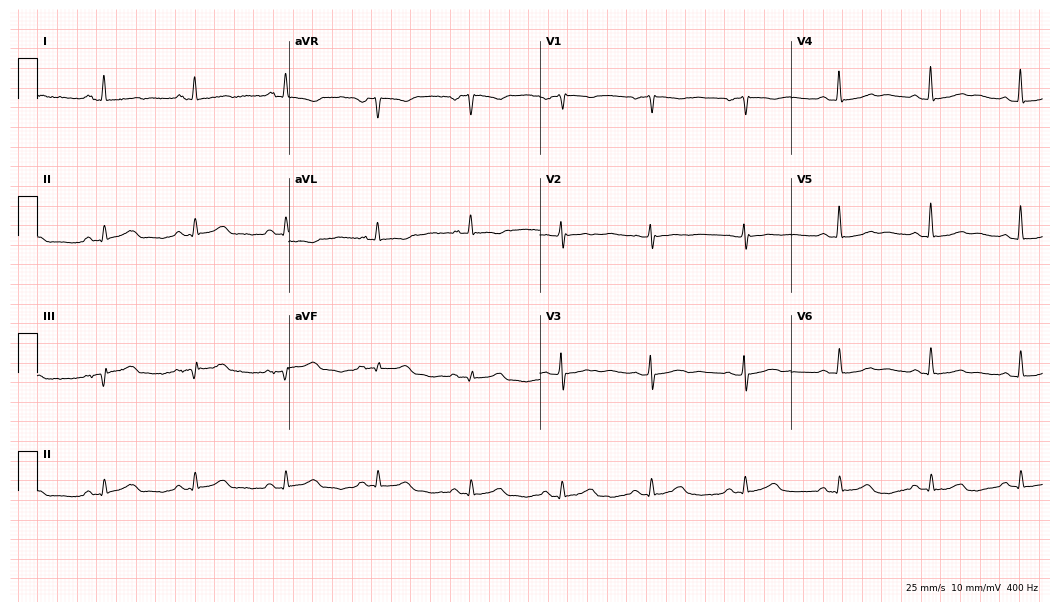
ECG (10.2-second recording at 400 Hz) — a 61-year-old female. Screened for six findings — first-degree AV block, right bundle branch block (RBBB), left bundle branch block (LBBB), sinus bradycardia, atrial fibrillation (AF), sinus tachycardia — none is recorded.